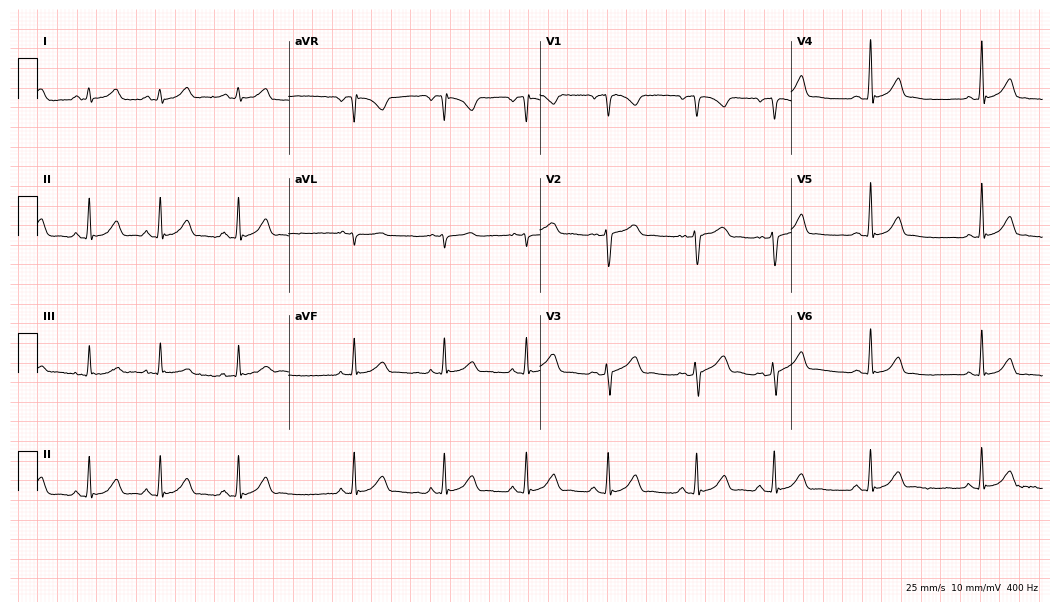
12-lead ECG from an 18-year-old female patient. Labelled as a normal ECG.